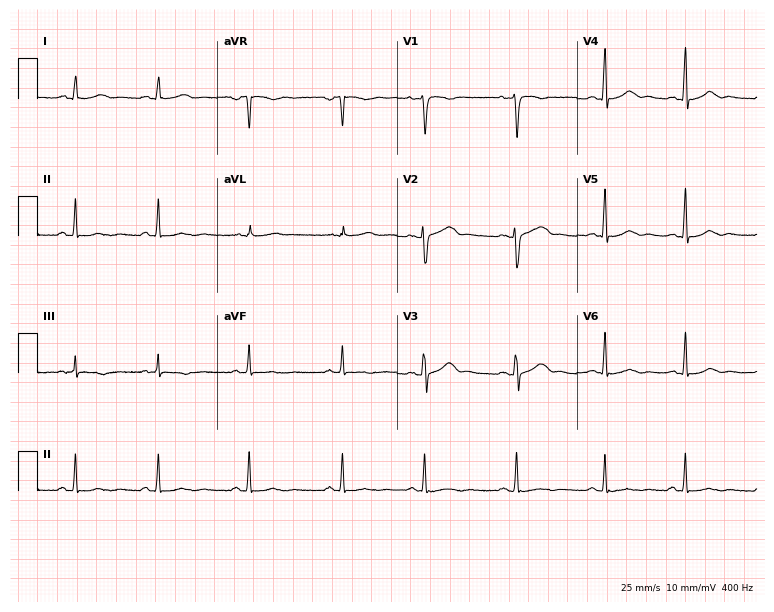
Resting 12-lead electrocardiogram (7.3-second recording at 400 Hz). Patient: a woman, 17 years old. Read as a normal ECG.